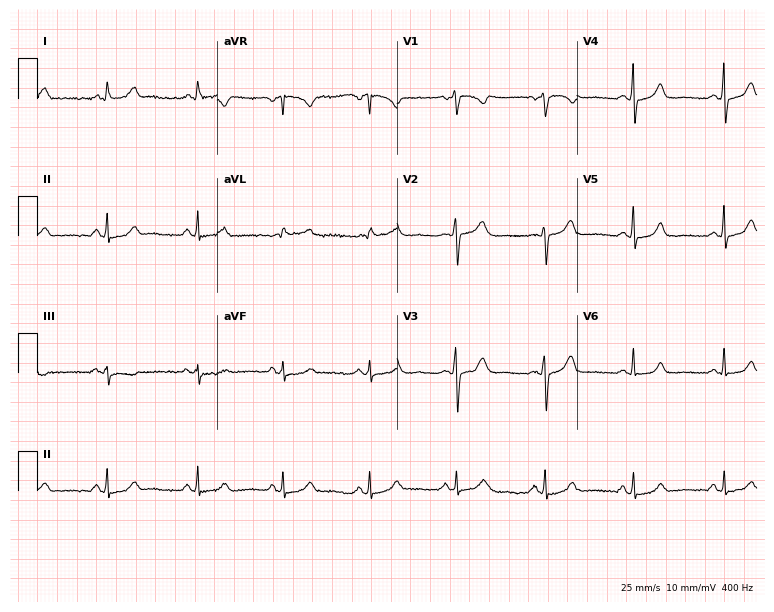
12-lead ECG (7.3-second recording at 400 Hz) from a female, 56 years old. Labelled as a normal ECG.